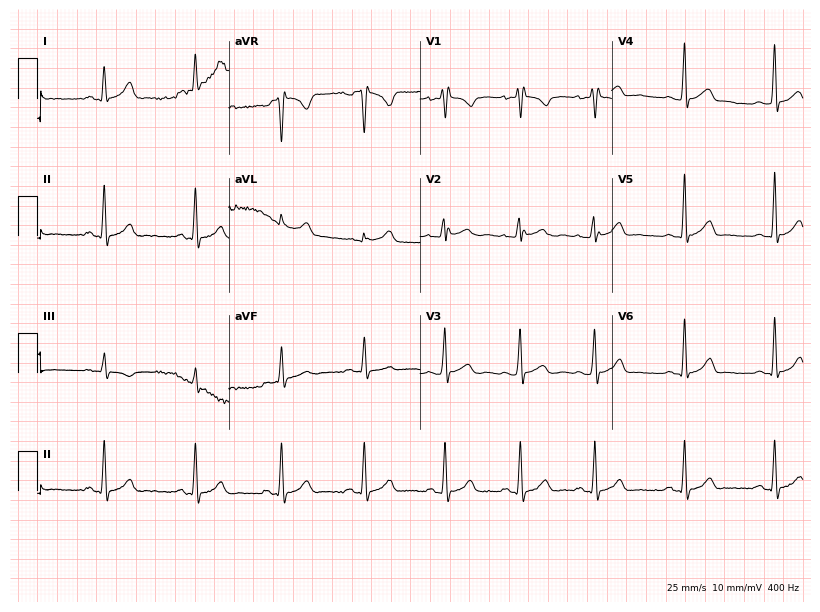
Standard 12-lead ECG recorded from a man, 30 years old (7.8-second recording at 400 Hz). None of these six findings is recorded: first-degree AV block, right bundle branch block (RBBB), left bundle branch block (LBBB), sinus bradycardia, atrial fibrillation (AF), sinus tachycardia. Other findings, if any, are not listed.